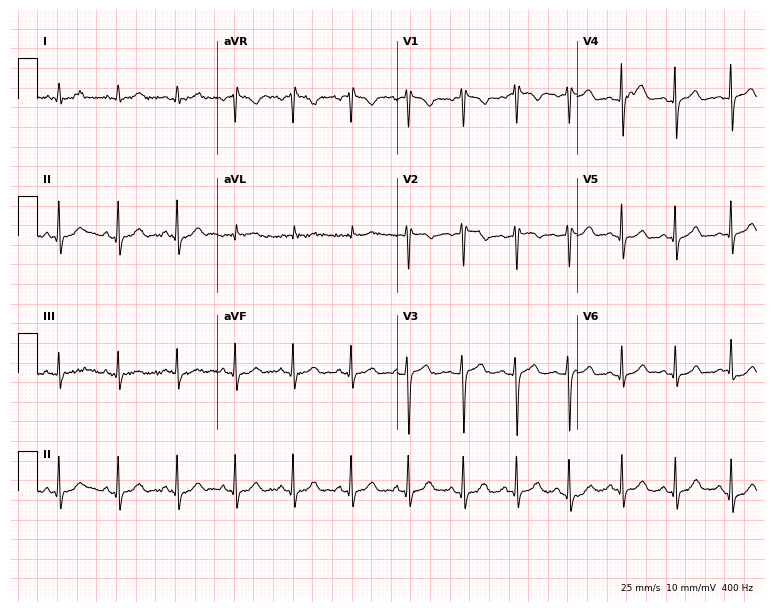
Electrocardiogram (7.3-second recording at 400 Hz), a 35-year-old woman. Of the six screened findings (first-degree AV block, right bundle branch block, left bundle branch block, sinus bradycardia, atrial fibrillation, sinus tachycardia), none is recorded.